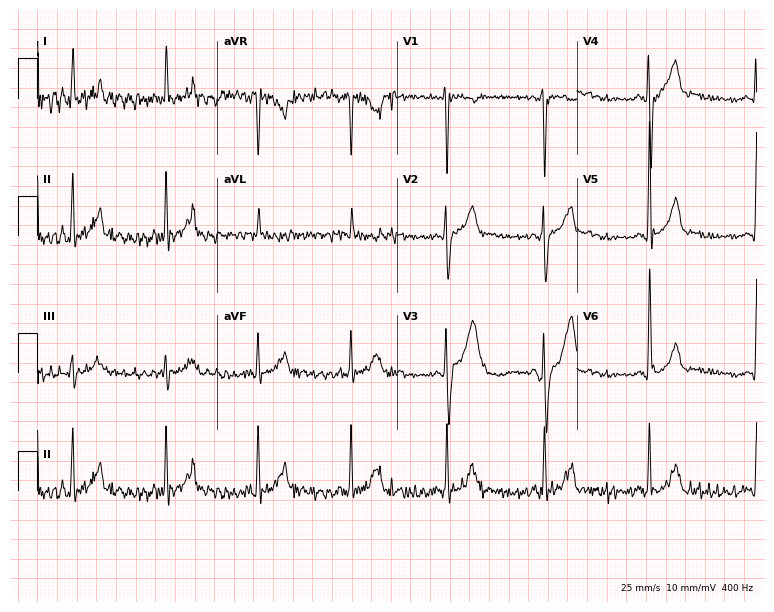
12-lead ECG from a 45-year-old male patient. Screened for six findings — first-degree AV block, right bundle branch block, left bundle branch block, sinus bradycardia, atrial fibrillation, sinus tachycardia — none is recorded.